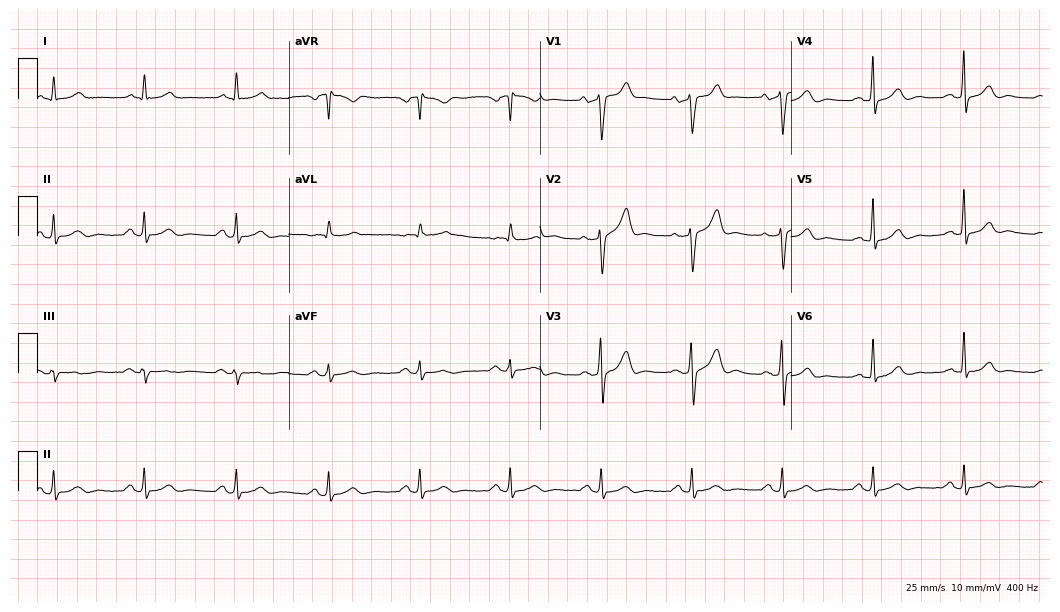
Standard 12-lead ECG recorded from a 62-year-old man (10.2-second recording at 400 Hz). None of these six findings is recorded: first-degree AV block, right bundle branch block, left bundle branch block, sinus bradycardia, atrial fibrillation, sinus tachycardia.